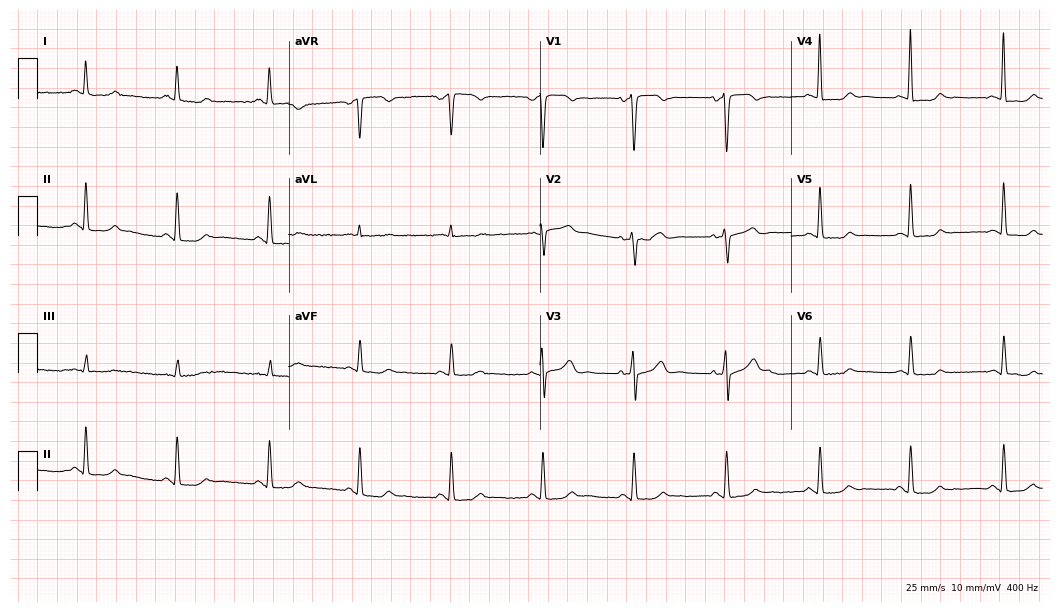
12-lead ECG from a female, 62 years old. No first-degree AV block, right bundle branch block, left bundle branch block, sinus bradycardia, atrial fibrillation or sinus tachycardia recorded for this tracing. Other findings, if any, are not listed.